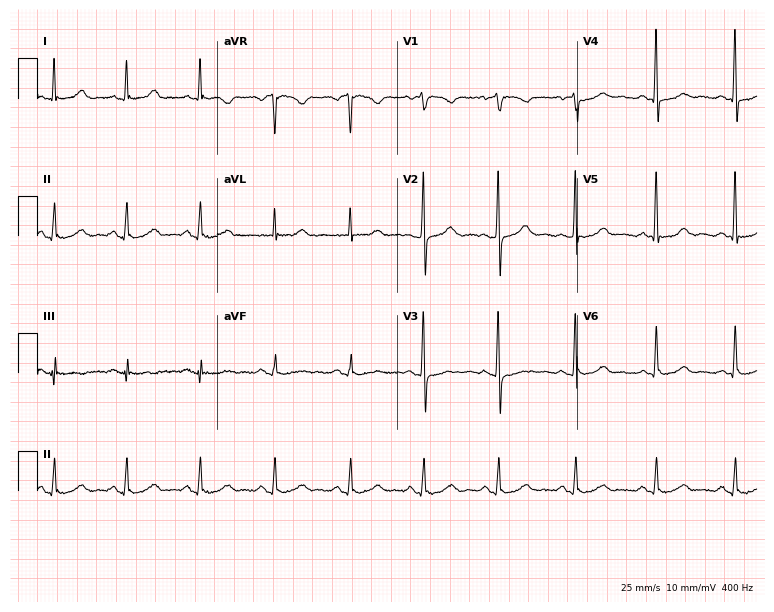
Standard 12-lead ECG recorded from a female patient, 62 years old (7.3-second recording at 400 Hz). None of these six findings is recorded: first-degree AV block, right bundle branch block (RBBB), left bundle branch block (LBBB), sinus bradycardia, atrial fibrillation (AF), sinus tachycardia.